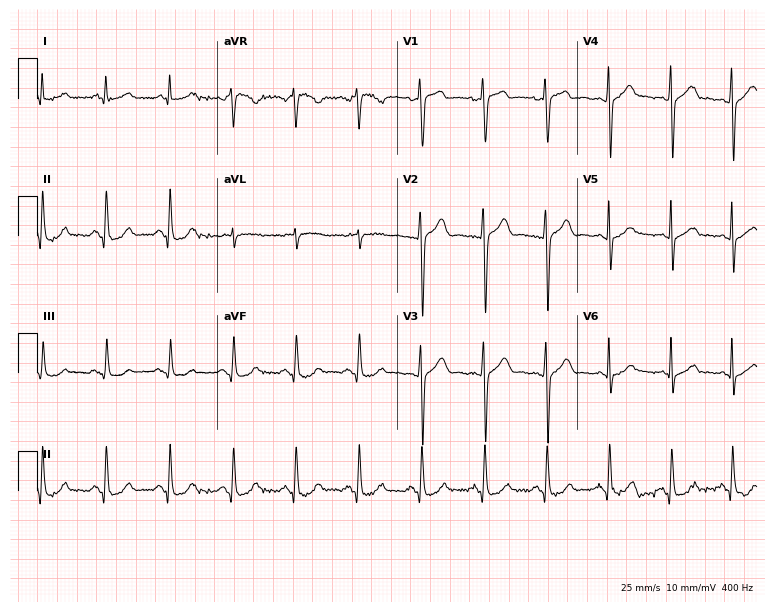
12-lead ECG from a 54-year-old male patient. No first-degree AV block, right bundle branch block (RBBB), left bundle branch block (LBBB), sinus bradycardia, atrial fibrillation (AF) or sinus tachycardia recorded for this tracing.